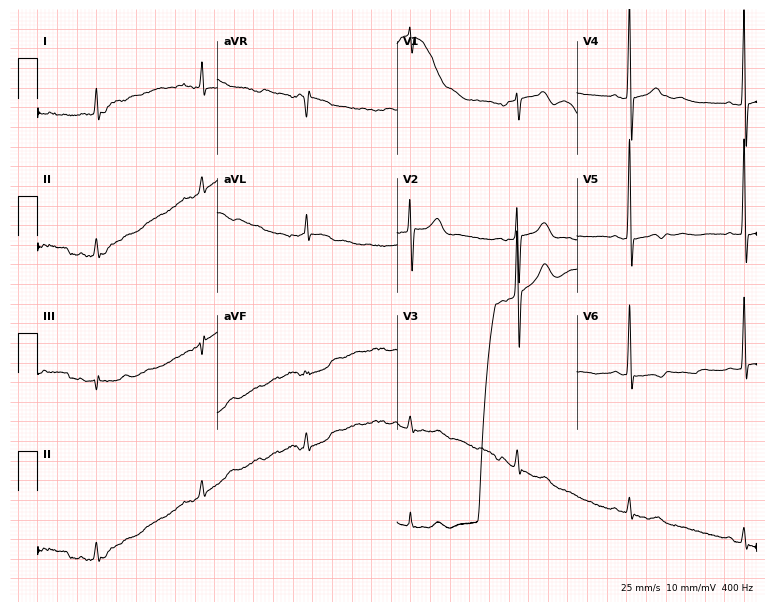
12-lead ECG from a male, 76 years old. Screened for six findings — first-degree AV block, right bundle branch block, left bundle branch block, sinus bradycardia, atrial fibrillation, sinus tachycardia — none is recorded.